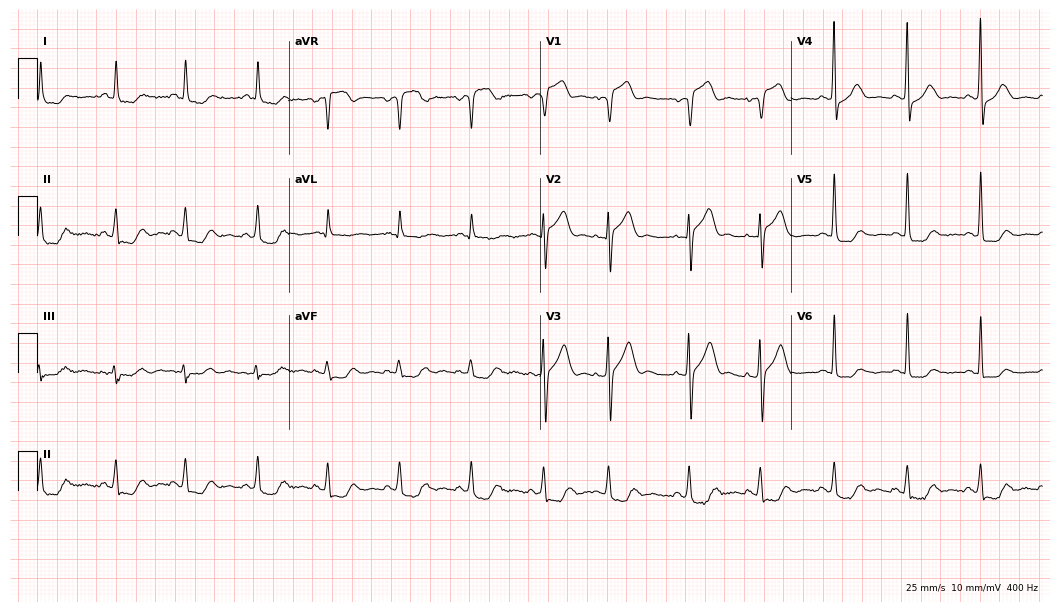
12-lead ECG from a 77-year-old female patient. No first-degree AV block, right bundle branch block, left bundle branch block, sinus bradycardia, atrial fibrillation or sinus tachycardia recorded for this tracing. Only these six findings were labelled.